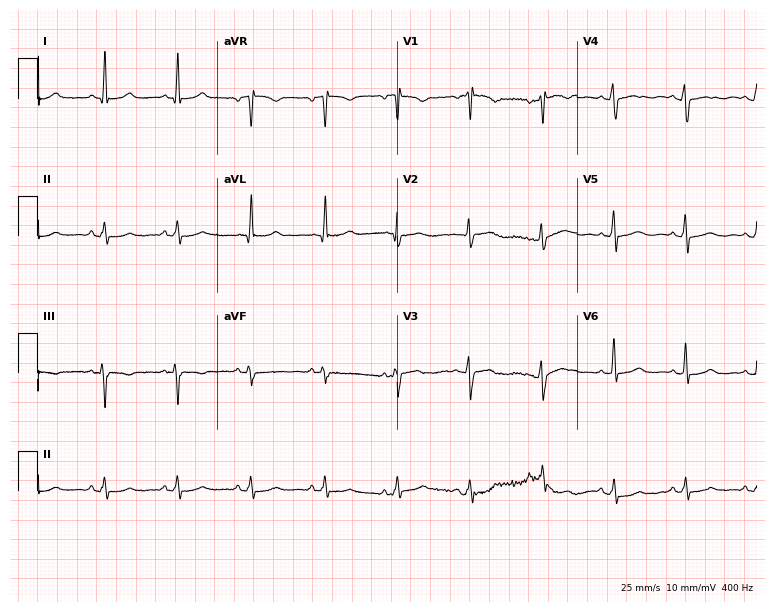
Standard 12-lead ECG recorded from a 64-year-old female. Read as a normal ECG.